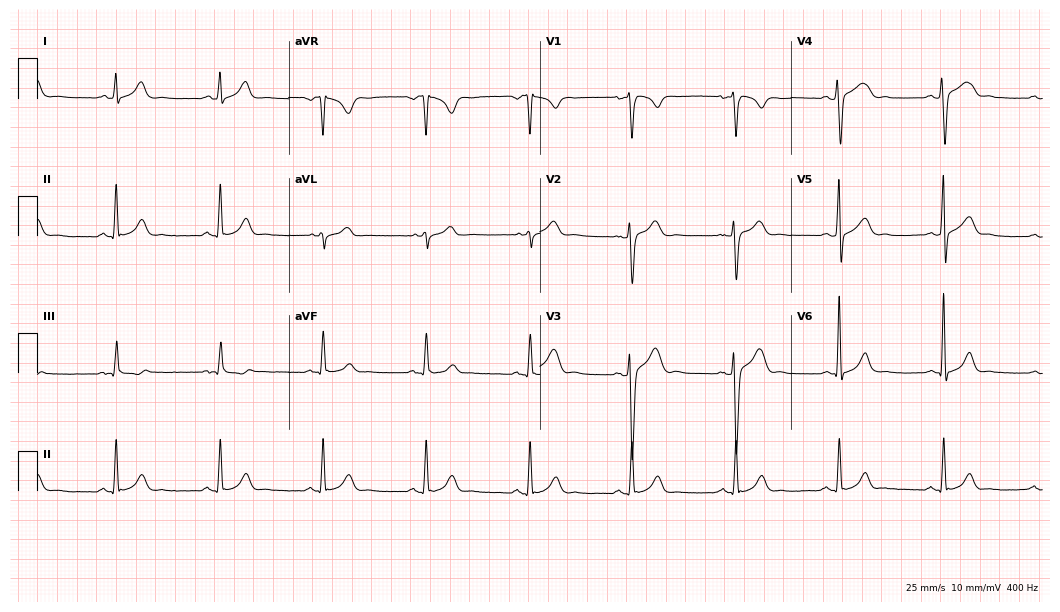
ECG — a male, 27 years old. Labelled as a normal ECG.